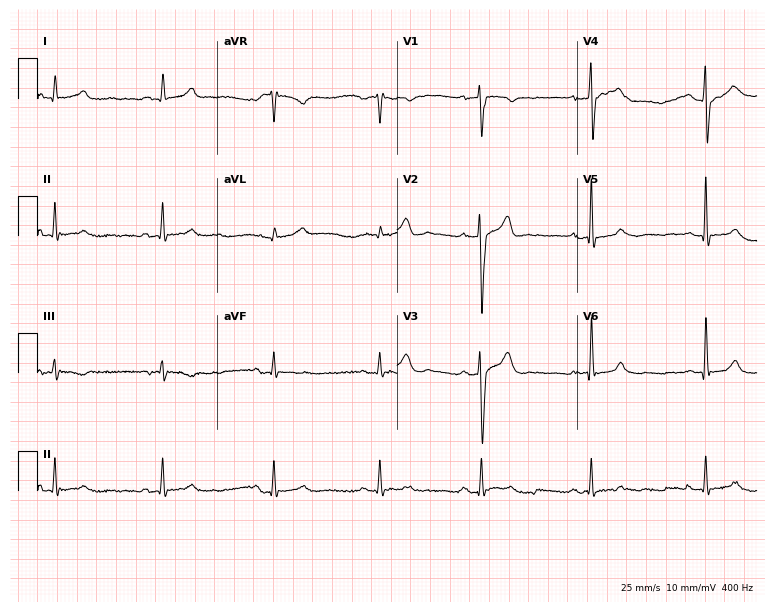
Resting 12-lead electrocardiogram (7.3-second recording at 400 Hz). Patient: a 29-year-old male. Read as a normal ECG.